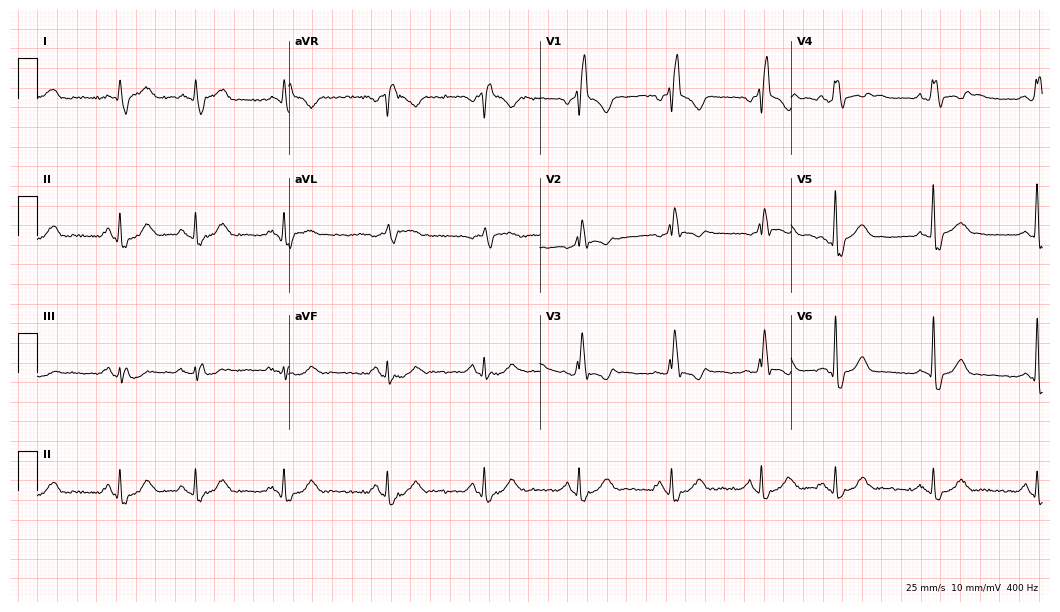
Electrocardiogram (10.2-second recording at 400 Hz), a man, 80 years old. Interpretation includes right bundle branch block.